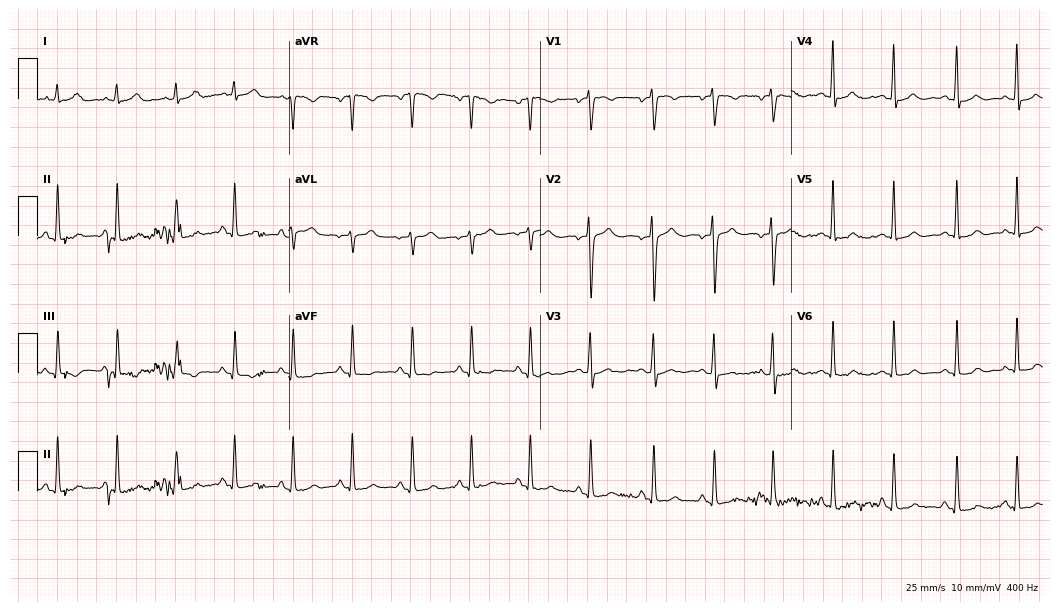
Electrocardiogram (10.2-second recording at 400 Hz), a female, 23 years old. Of the six screened findings (first-degree AV block, right bundle branch block (RBBB), left bundle branch block (LBBB), sinus bradycardia, atrial fibrillation (AF), sinus tachycardia), none is recorded. Findings outside these six are not listed.